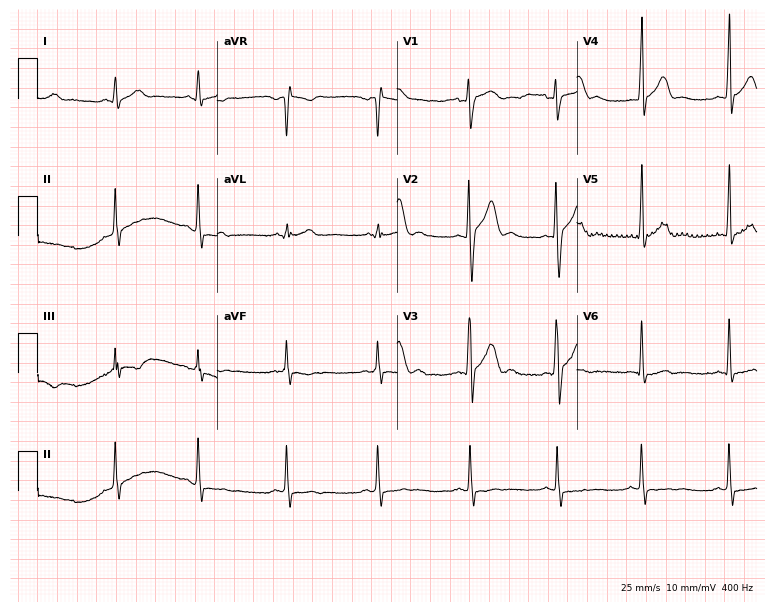
12-lead ECG from a 27-year-old male (7.3-second recording at 400 Hz). No first-degree AV block, right bundle branch block (RBBB), left bundle branch block (LBBB), sinus bradycardia, atrial fibrillation (AF) or sinus tachycardia recorded for this tracing. Findings outside these six are not listed.